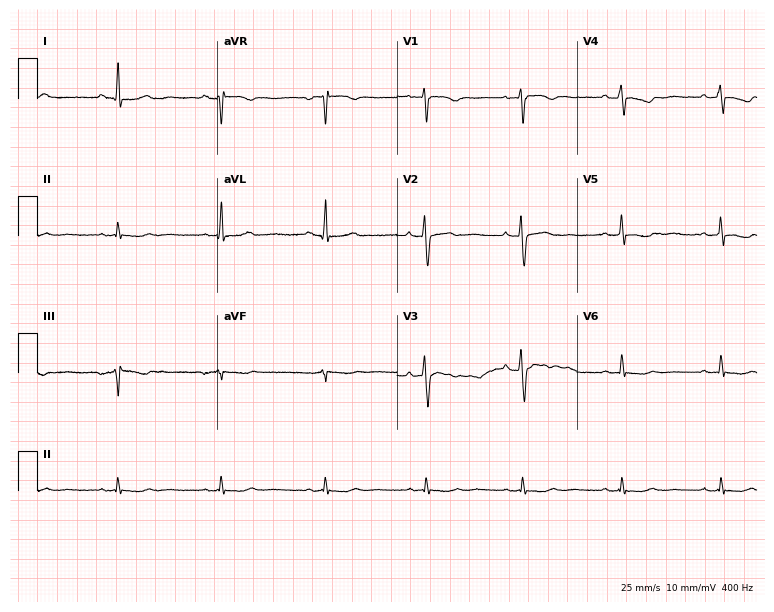
Standard 12-lead ECG recorded from a female, 39 years old. None of these six findings is recorded: first-degree AV block, right bundle branch block (RBBB), left bundle branch block (LBBB), sinus bradycardia, atrial fibrillation (AF), sinus tachycardia.